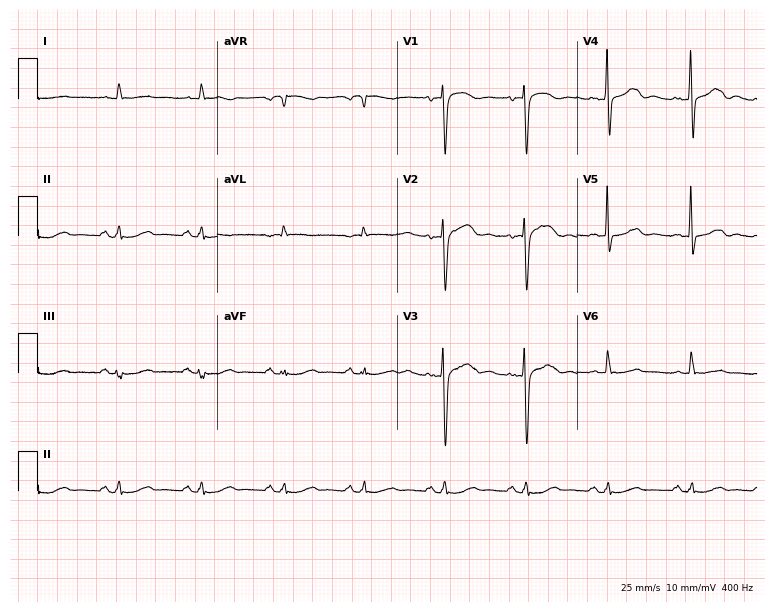
ECG (7.3-second recording at 400 Hz) — a 67-year-old female patient. Screened for six findings — first-degree AV block, right bundle branch block, left bundle branch block, sinus bradycardia, atrial fibrillation, sinus tachycardia — none is recorded. Findings outside these six are not listed.